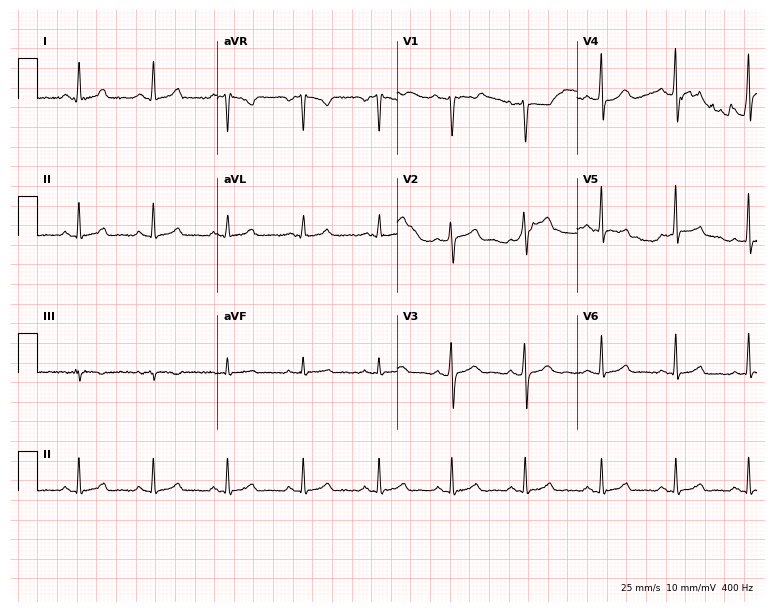
Electrocardiogram, a woman, 22 years old. Overall reading on record: normal ECG.